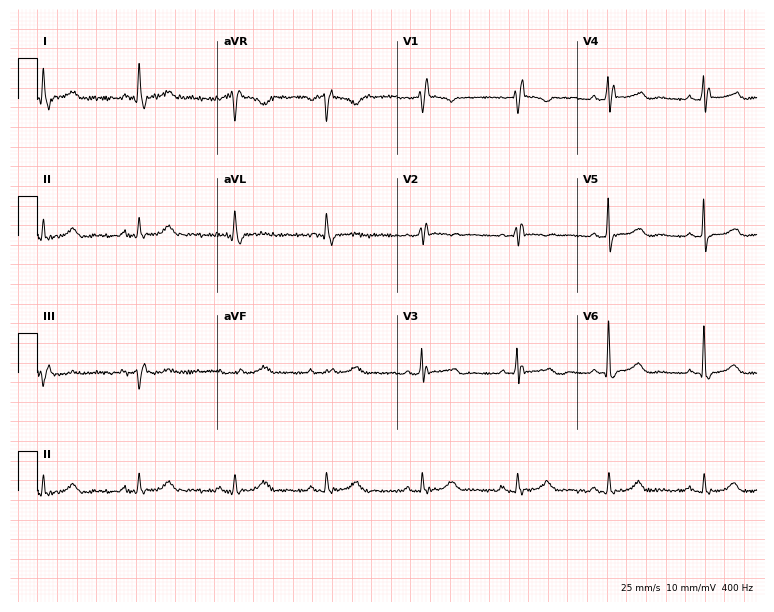
Electrocardiogram, a 65-year-old female. Of the six screened findings (first-degree AV block, right bundle branch block (RBBB), left bundle branch block (LBBB), sinus bradycardia, atrial fibrillation (AF), sinus tachycardia), none is recorded.